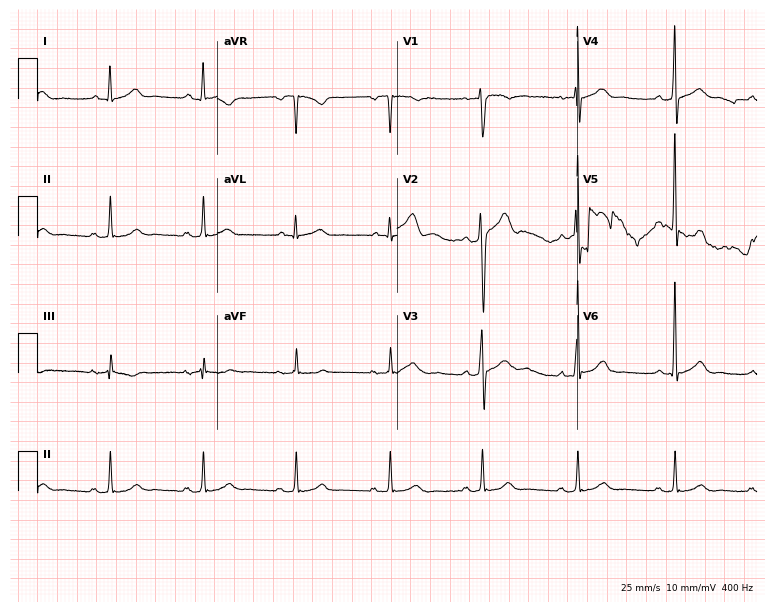
12-lead ECG from a man, 36 years old. Labelled as a normal ECG.